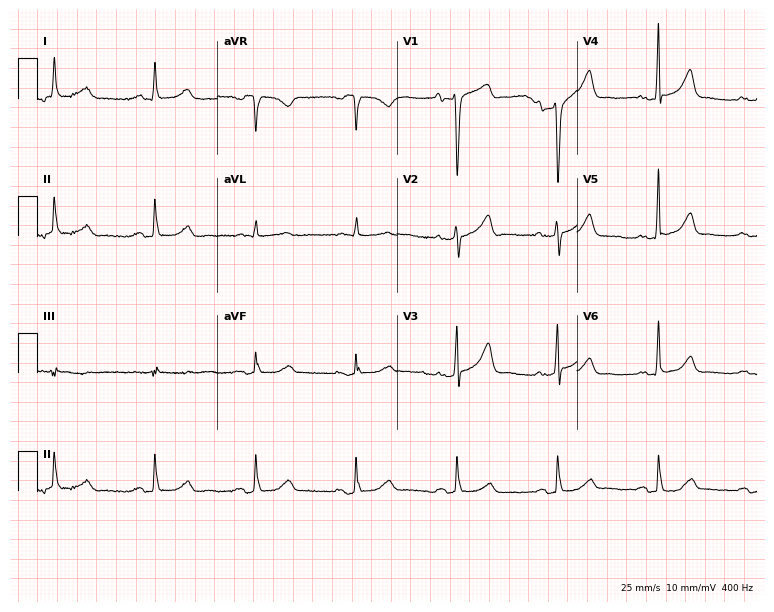
12-lead ECG from a 66-year-old male patient. No first-degree AV block, right bundle branch block (RBBB), left bundle branch block (LBBB), sinus bradycardia, atrial fibrillation (AF) or sinus tachycardia recorded for this tracing.